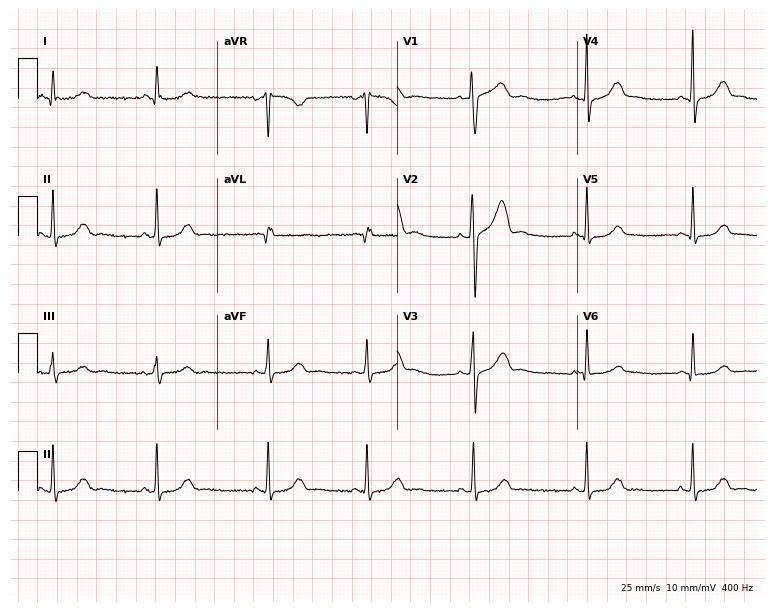
12-lead ECG from a female, 27 years old (7.3-second recording at 400 Hz). Recorded interpretation: within normal limits.